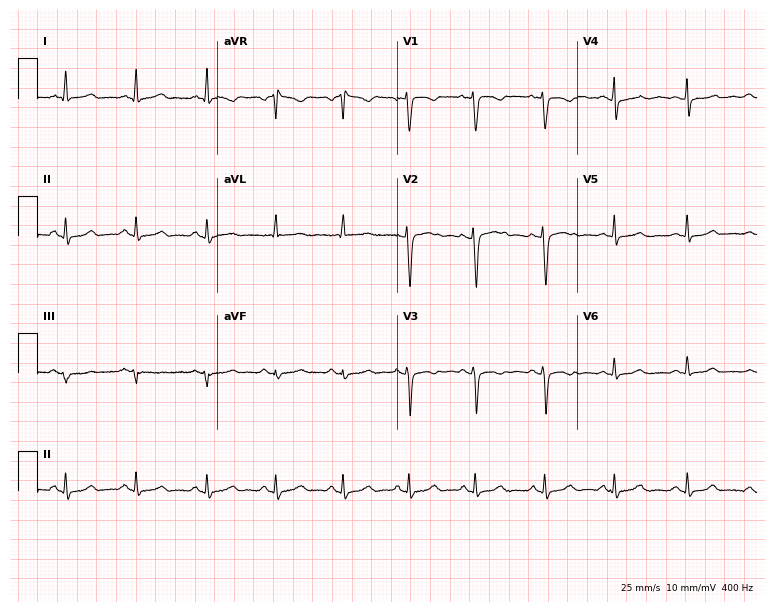
Resting 12-lead electrocardiogram. Patient: a 45-year-old female. None of these six findings is recorded: first-degree AV block, right bundle branch block, left bundle branch block, sinus bradycardia, atrial fibrillation, sinus tachycardia.